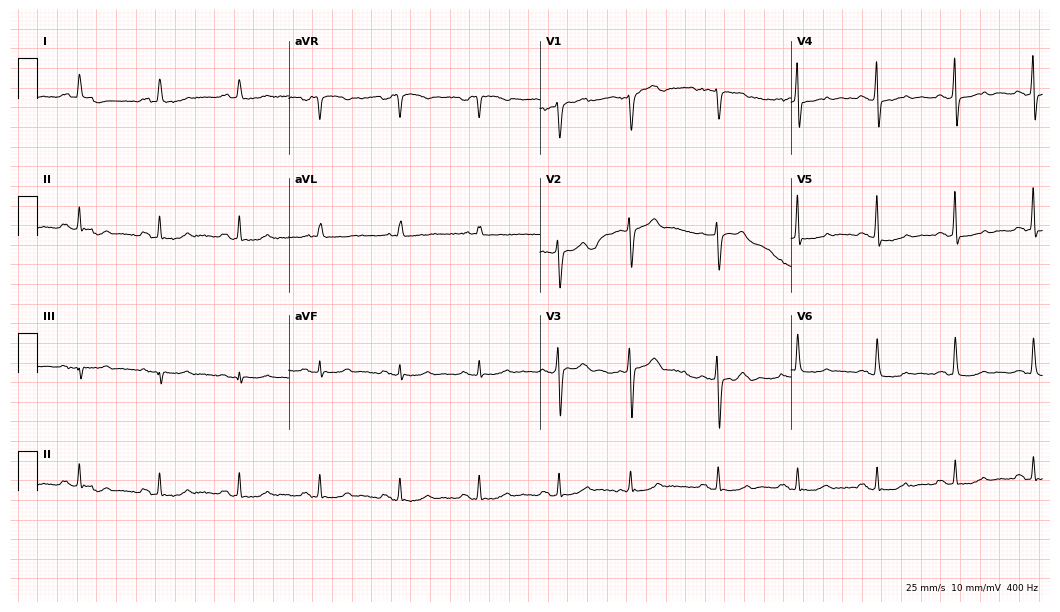
12-lead ECG from a male, 70 years old (10.2-second recording at 400 Hz). No first-degree AV block, right bundle branch block, left bundle branch block, sinus bradycardia, atrial fibrillation or sinus tachycardia recorded for this tracing. Only these six findings were labelled.